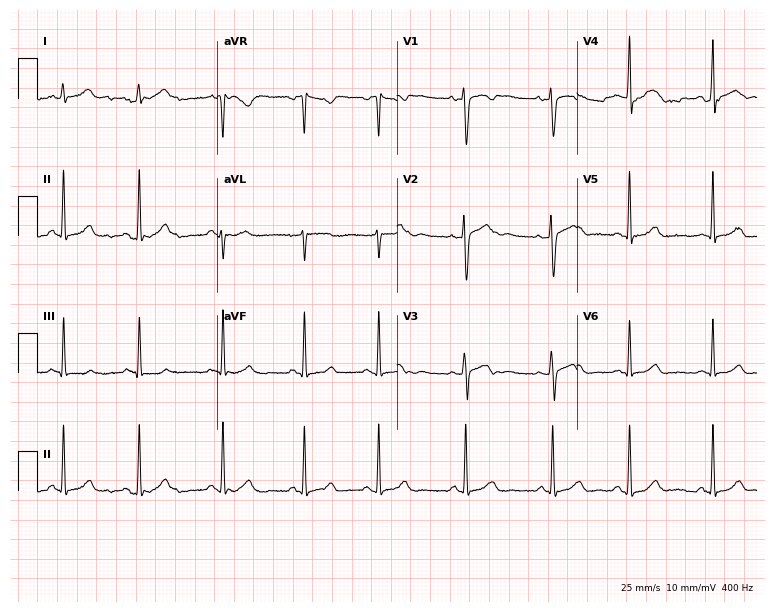
ECG — a 25-year-old female patient. Labelled as a normal ECG.